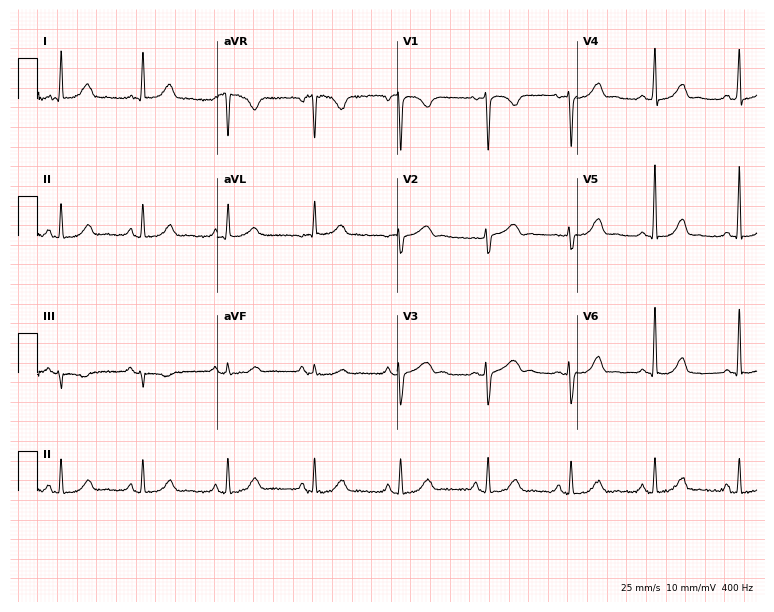
Electrocardiogram (7.3-second recording at 400 Hz), a female, 50 years old. Of the six screened findings (first-degree AV block, right bundle branch block (RBBB), left bundle branch block (LBBB), sinus bradycardia, atrial fibrillation (AF), sinus tachycardia), none is recorded. Only these six findings were labelled.